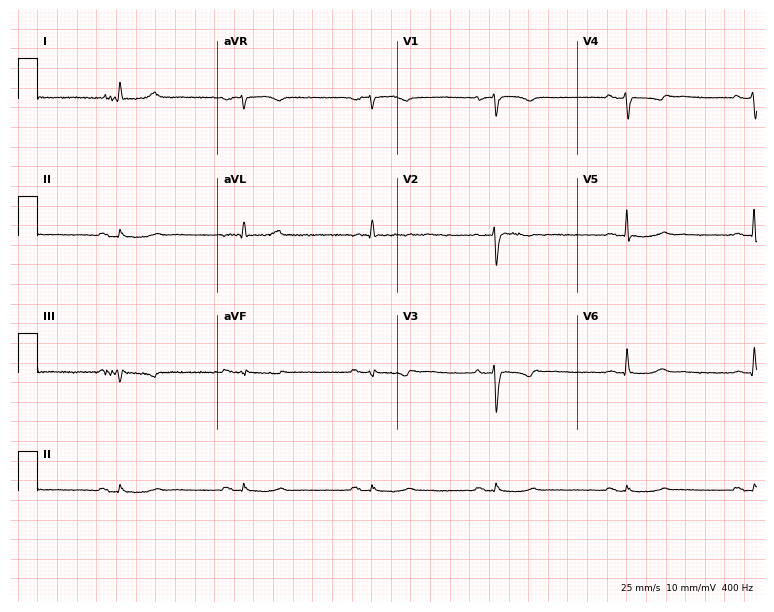
12-lead ECG from a 59-year-old woman (7.3-second recording at 400 Hz). Shows sinus bradycardia (a sinus rate of 50 beats per minute or less).